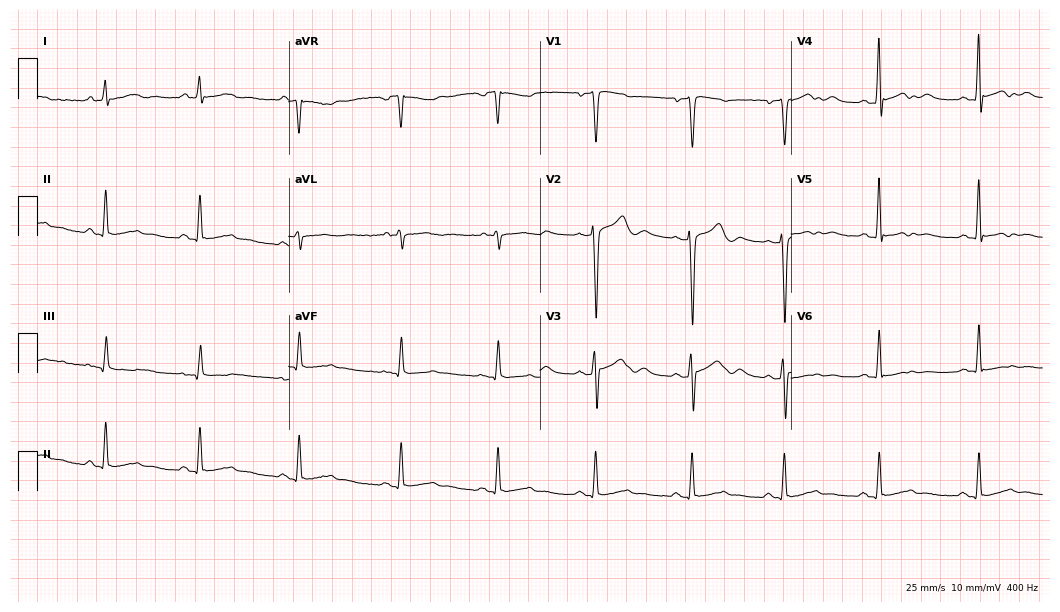
Standard 12-lead ECG recorded from a 39-year-old male. None of these six findings is recorded: first-degree AV block, right bundle branch block, left bundle branch block, sinus bradycardia, atrial fibrillation, sinus tachycardia. Other findings, if any, are not listed.